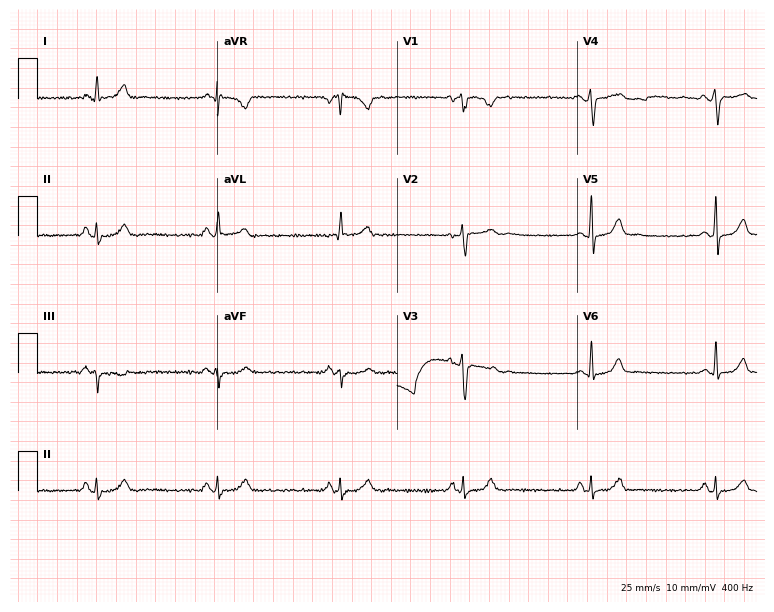
Electrocardiogram (7.3-second recording at 400 Hz), a 41-year-old female. Overall reading on record: normal ECG.